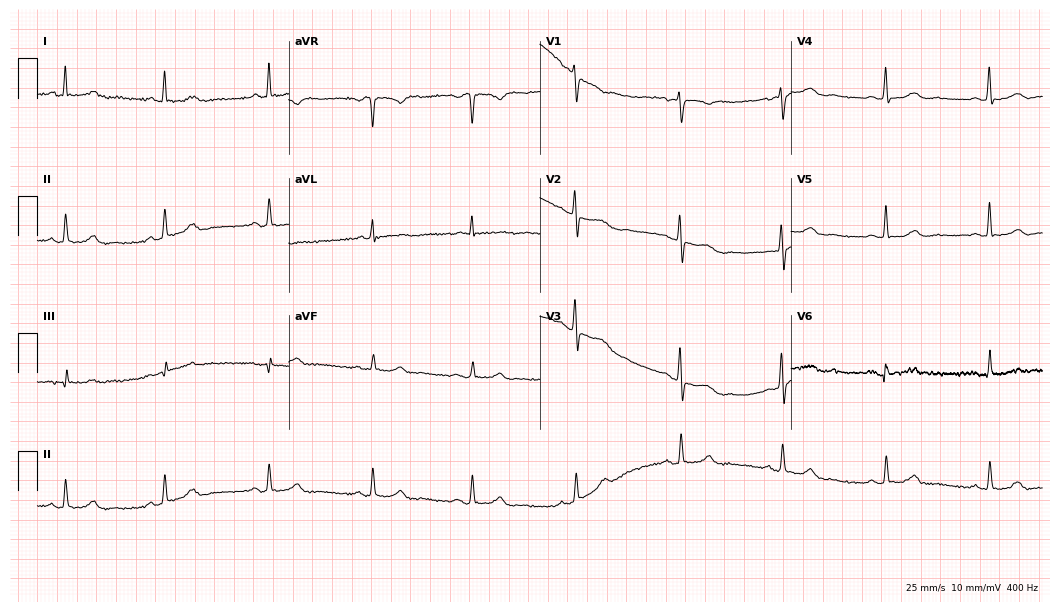
Resting 12-lead electrocardiogram (10.2-second recording at 400 Hz). Patient: a female, 50 years old. Read as a normal ECG.